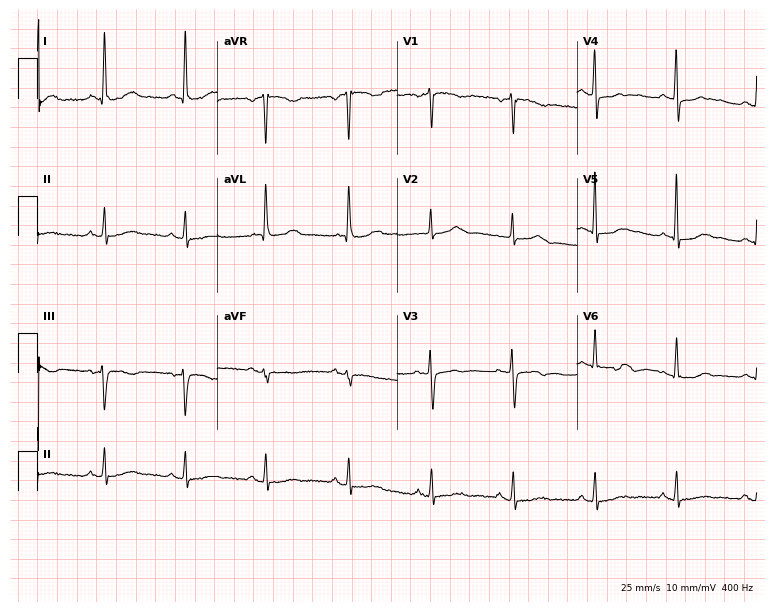
Resting 12-lead electrocardiogram (7.3-second recording at 400 Hz). Patient: a female, 67 years old. None of these six findings is recorded: first-degree AV block, right bundle branch block (RBBB), left bundle branch block (LBBB), sinus bradycardia, atrial fibrillation (AF), sinus tachycardia.